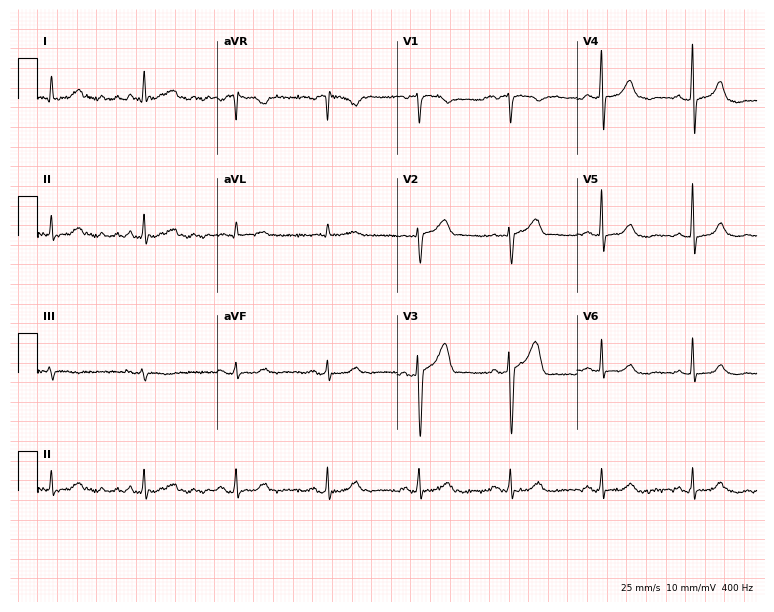
Resting 12-lead electrocardiogram (7.3-second recording at 400 Hz). Patient: a 64-year-old male. Read as a normal ECG.